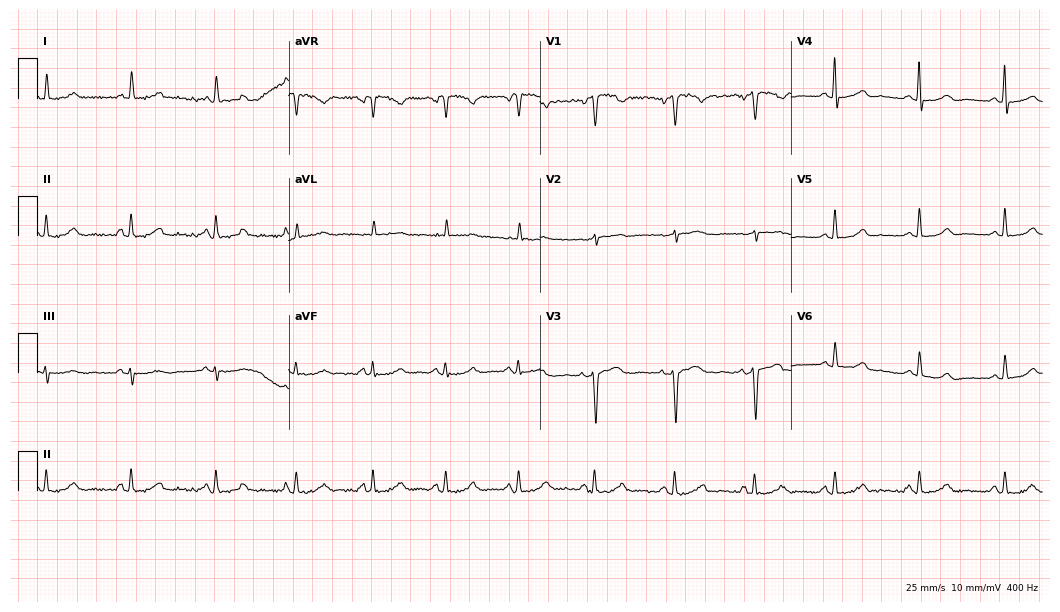
12-lead ECG from a female, 44 years old. No first-degree AV block, right bundle branch block, left bundle branch block, sinus bradycardia, atrial fibrillation or sinus tachycardia recorded for this tracing. Other findings, if any, are not listed.